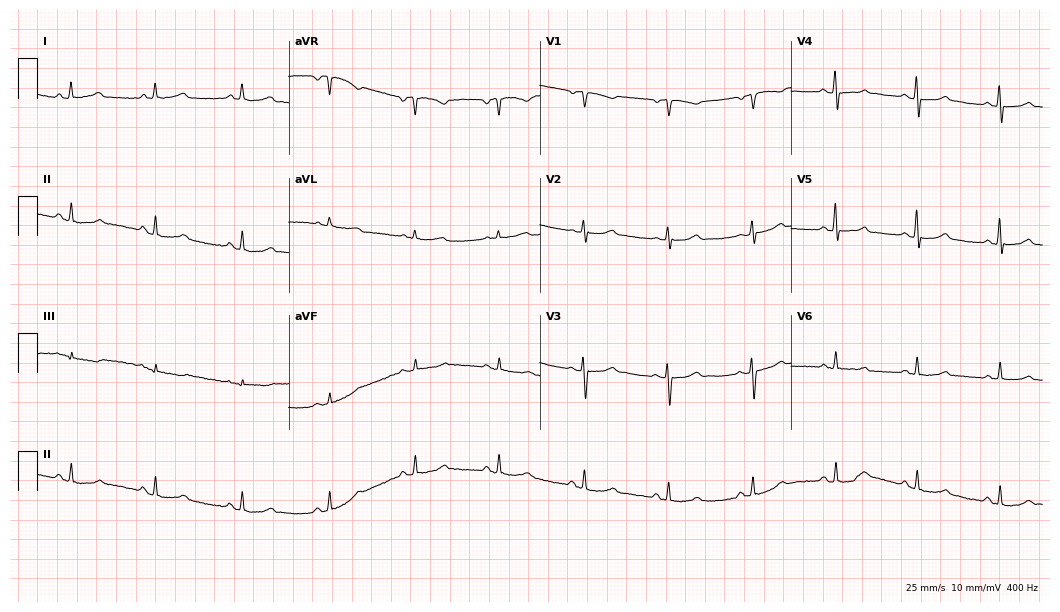
12-lead ECG from a female, 43 years old (10.2-second recording at 400 Hz). Recorded interpretation: within normal limits.